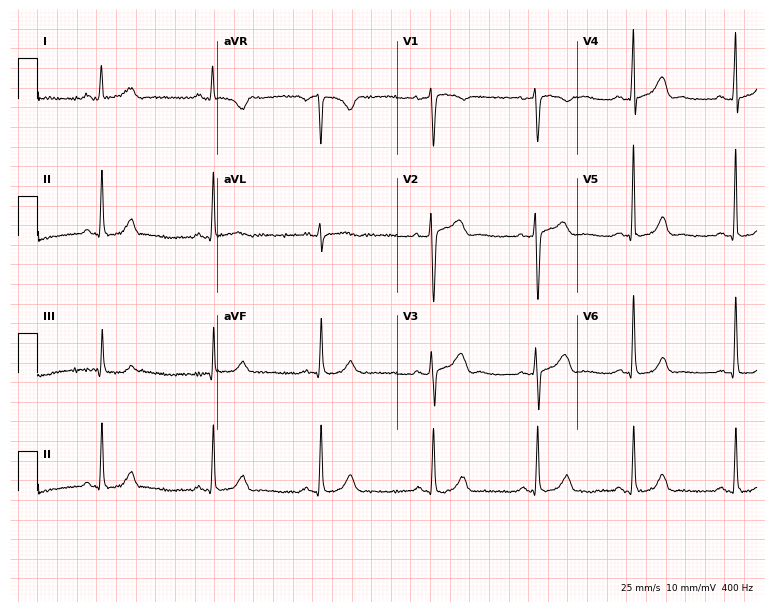
12-lead ECG from a female, 35 years old (7.3-second recording at 400 Hz). Recorded interpretation: within normal limits.